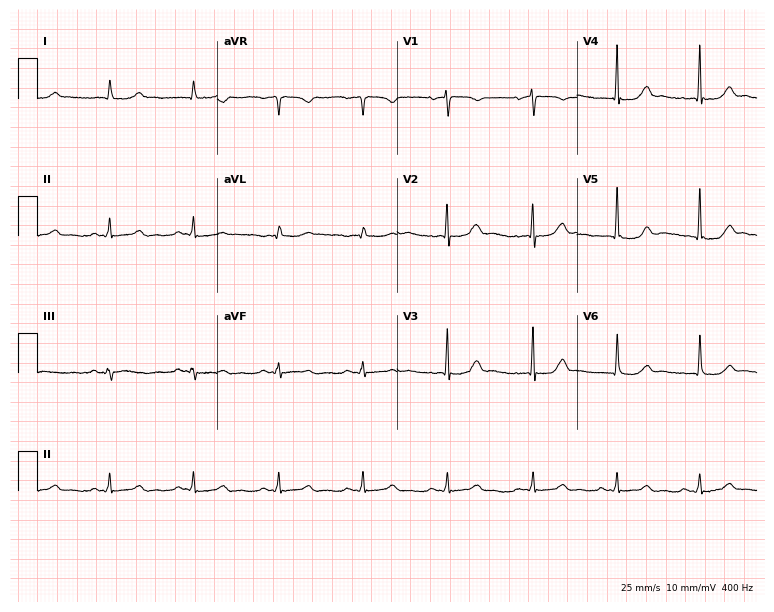
12-lead ECG from a 67-year-old woman. Screened for six findings — first-degree AV block, right bundle branch block (RBBB), left bundle branch block (LBBB), sinus bradycardia, atrial fibrillation (AF), sinus tachycardia — none is recorded.